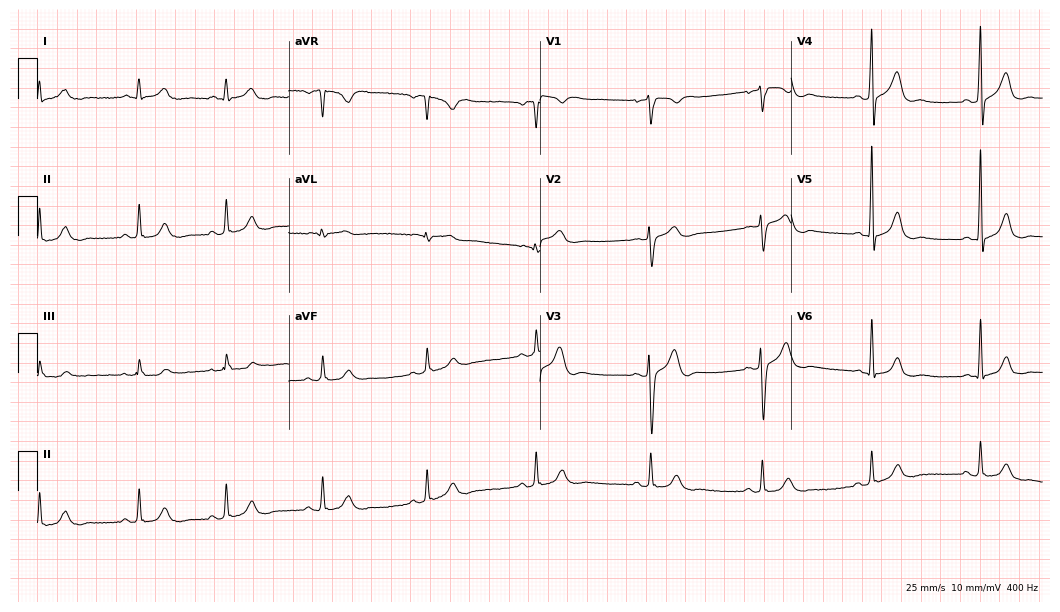
ECG (10.2-second recording at 400 Hz) — a 37-year-old male. Screened for six findings — first-degree AV block, right bundle branch block, left bundle branch block, sinus bradycardia, atrial fibrillation, sinus tachycardia — none is recorded.